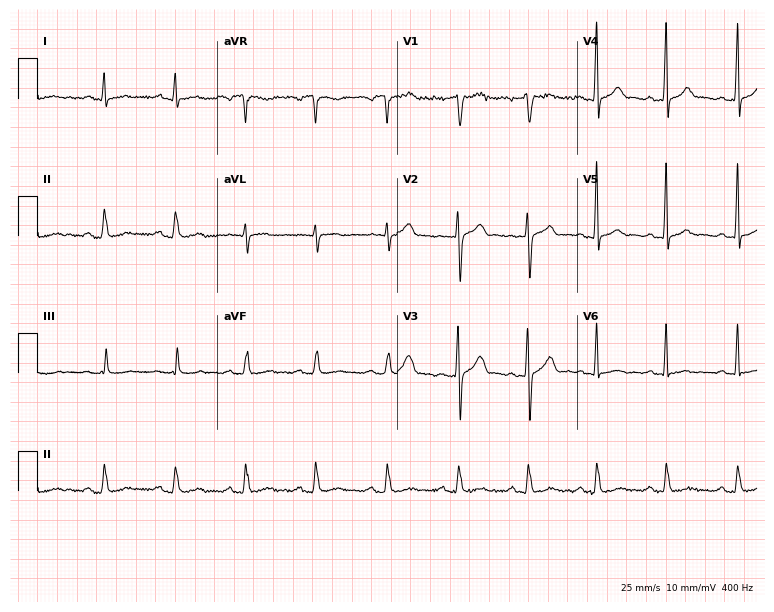
Standard 12-lead ECG recorded from a male patient, 43 years old. Read as a normal ECG.